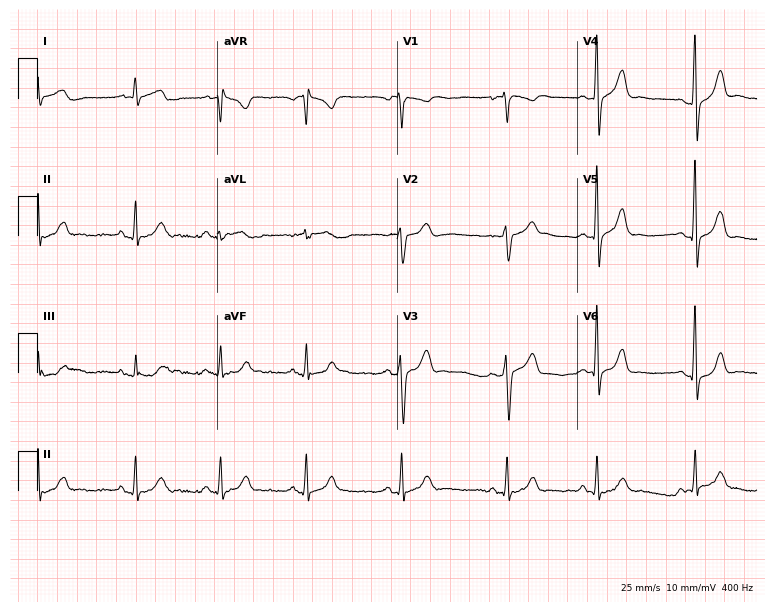
12-lead ECG from a 48-year-old female. Labelled as a normal ECG.